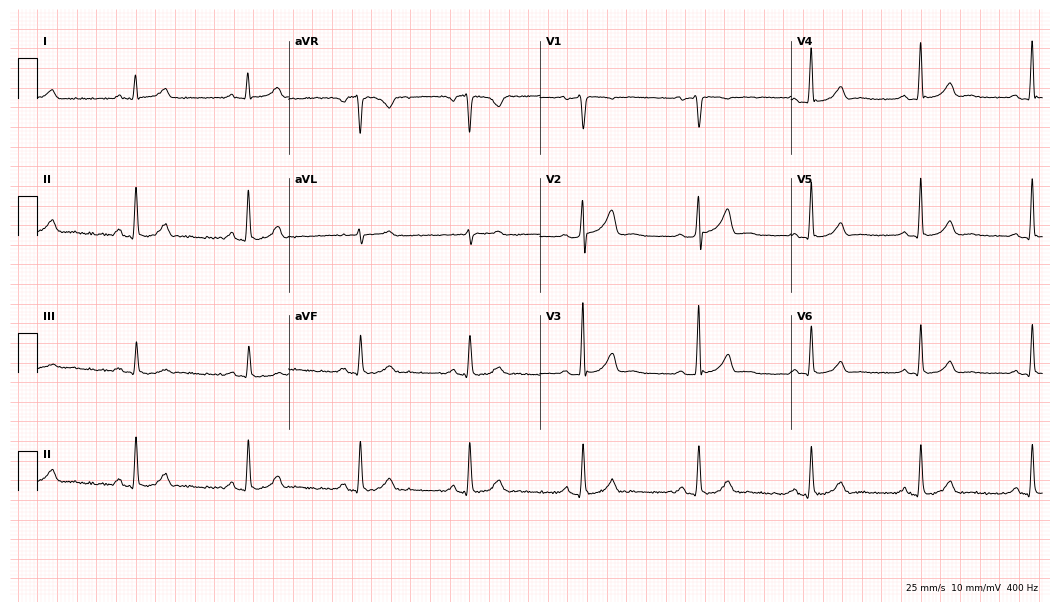
ECG (10.2-second recording at 400 Hz) — a man, 54 years old. Labelled as a normal ECG.